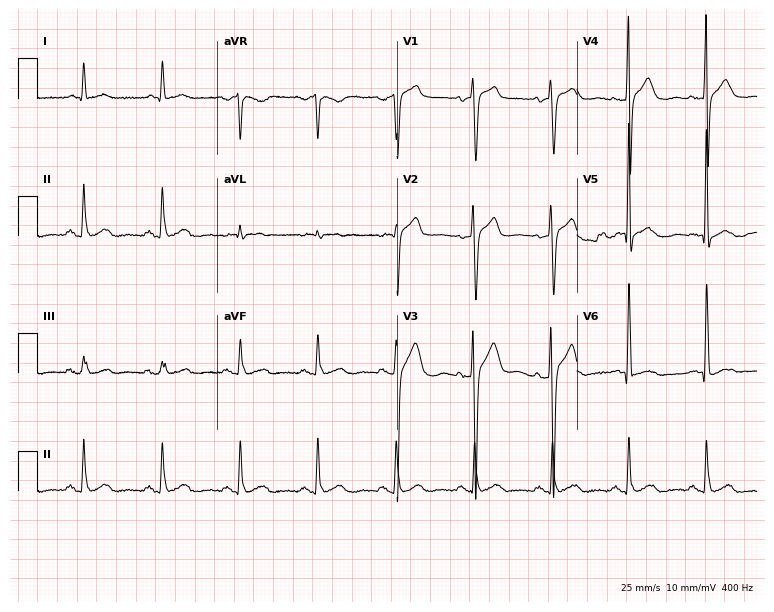
12-lead ECG from a male, 53 years old (7.3-second recording at 400 Hz). No first-degree AV block, right bundle branch block (RBBB), left bundle branch block (LBBB), sinus bradycardia, atrial fibrillation (AF) or sinus tachycardia recorded for this tracing.